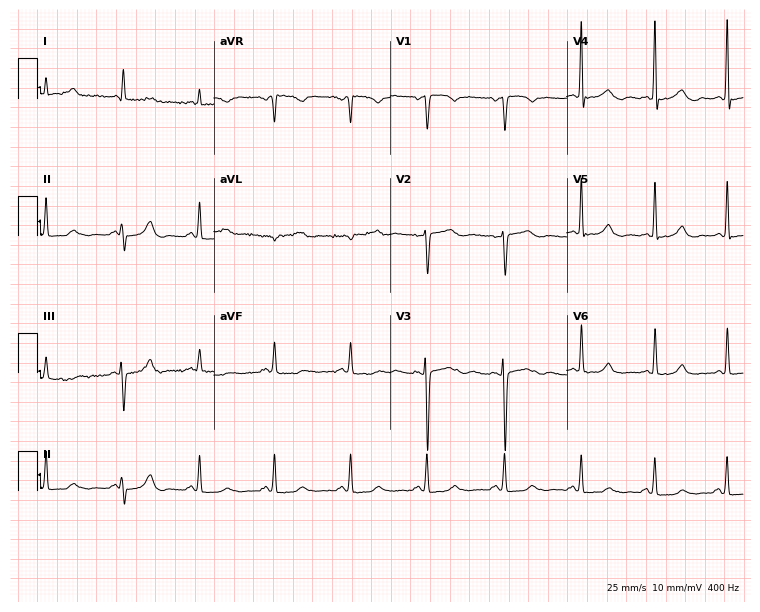
12-lead ECG from a 41-year-old female (7.2-second recording at 400 Hz). Recorded interpretation: within normal limits.